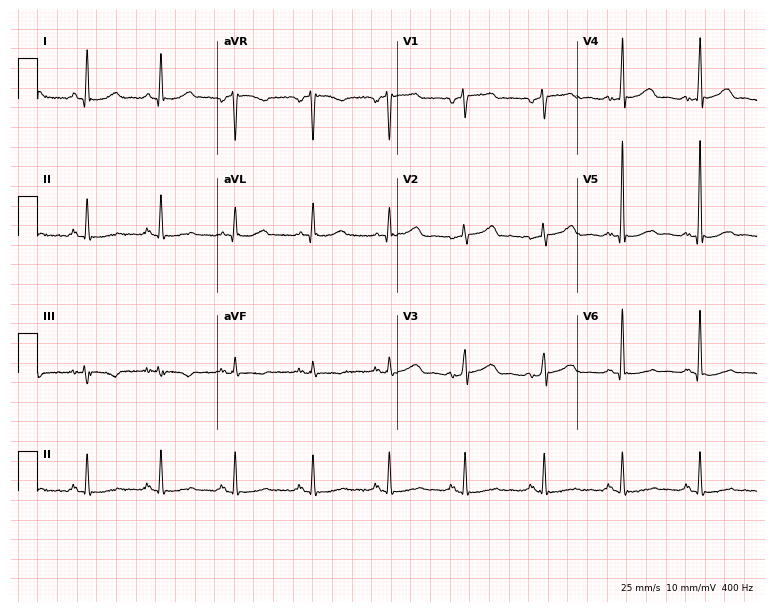
12-lead ECG from a female patient, 79 years old. Recorded interpretation: within normal limits.